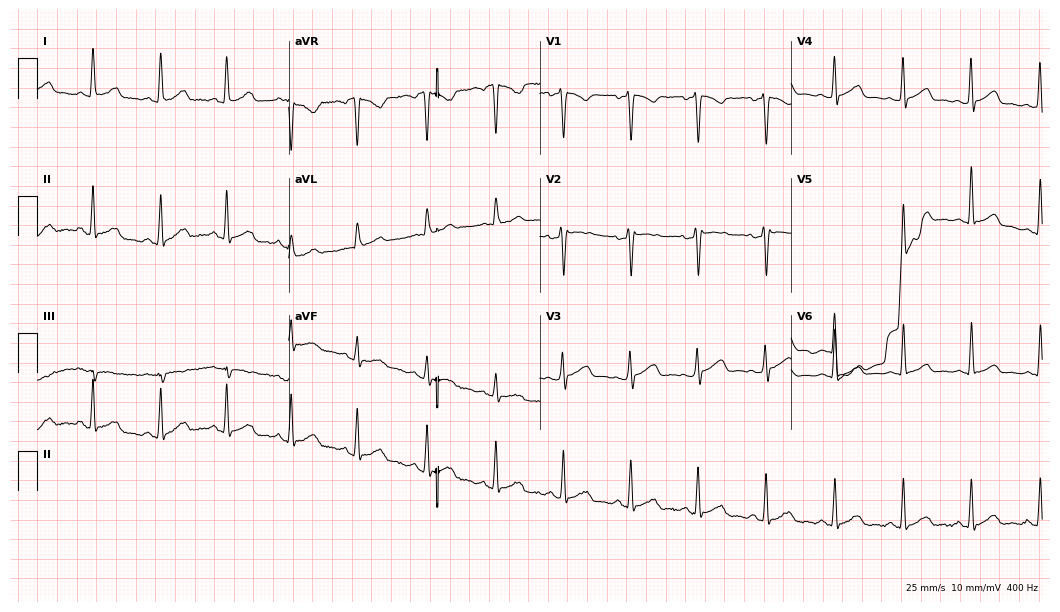
12-lead ECG from a 30-year-old woman. Screened for six findings — first-degree AV block, right bundle branch block (RBBB), left bundle branch block (LBBB), sinus bradycardia, atrial fibrillation (AF), sinus tachycardia — none is recorded. Findings outside these six are not listed.